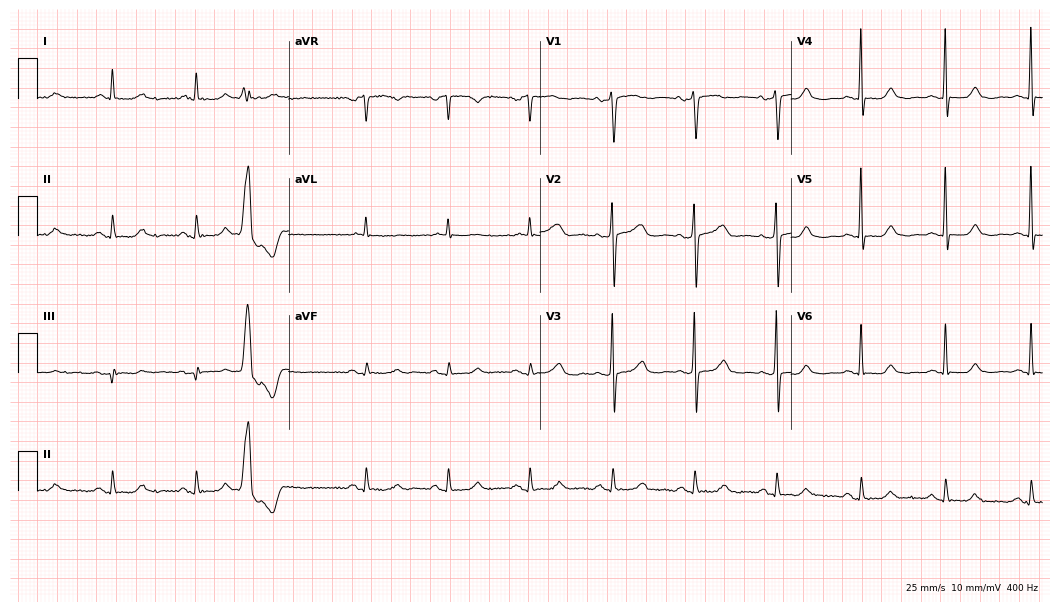
Resting 12-lead electrocardiogram. Patient: a female, 73 years old. Read as a normal ECG.